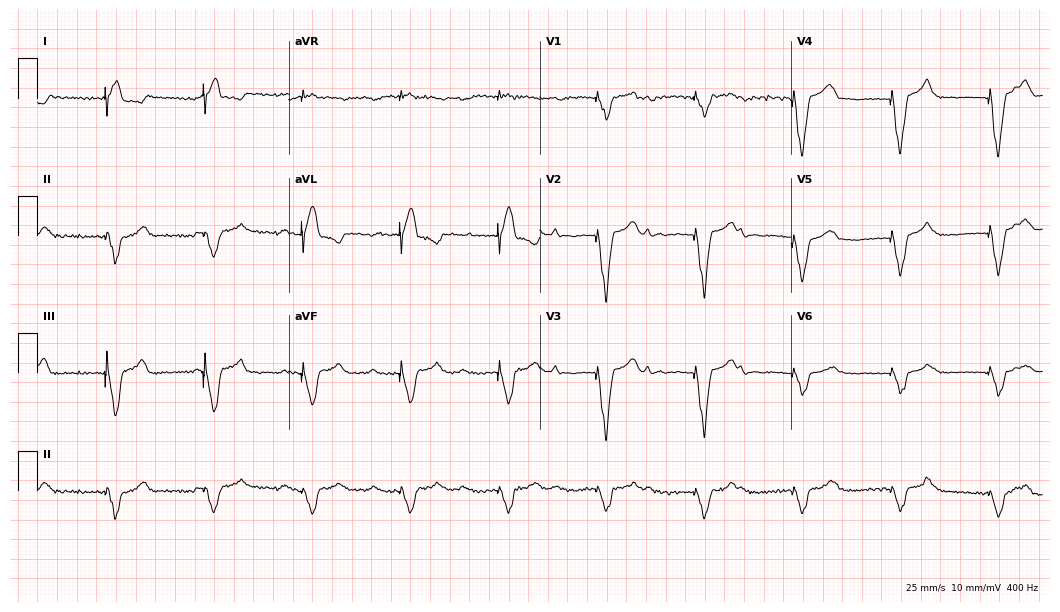
Resting 12-lead electrocardiogram. Patient: a female, 81 years old. None of these six findings is recorded: first-degree AV block, right bundle branch block, left bundle branch block, sinus bradycardia, atrial fibrillation, sinus tachycardia.